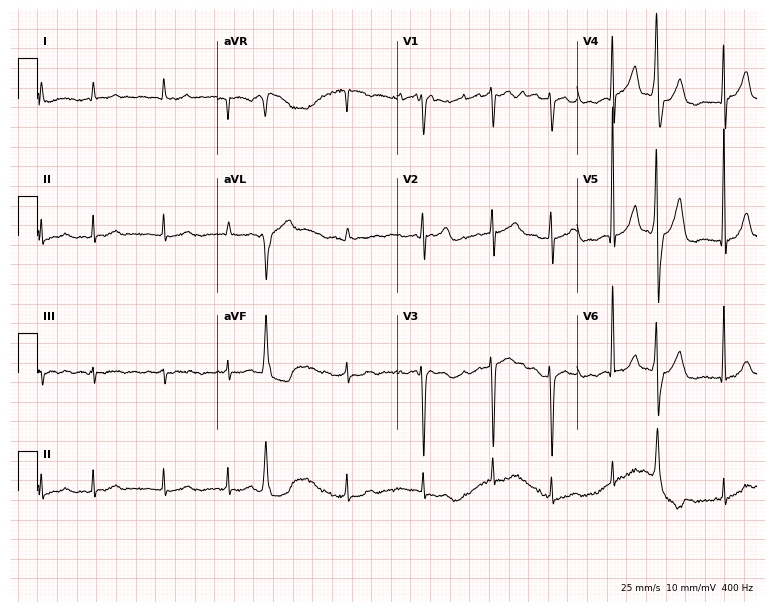
12-lead ECG from an 83-year-old female. Findings include atrial fibrillation.